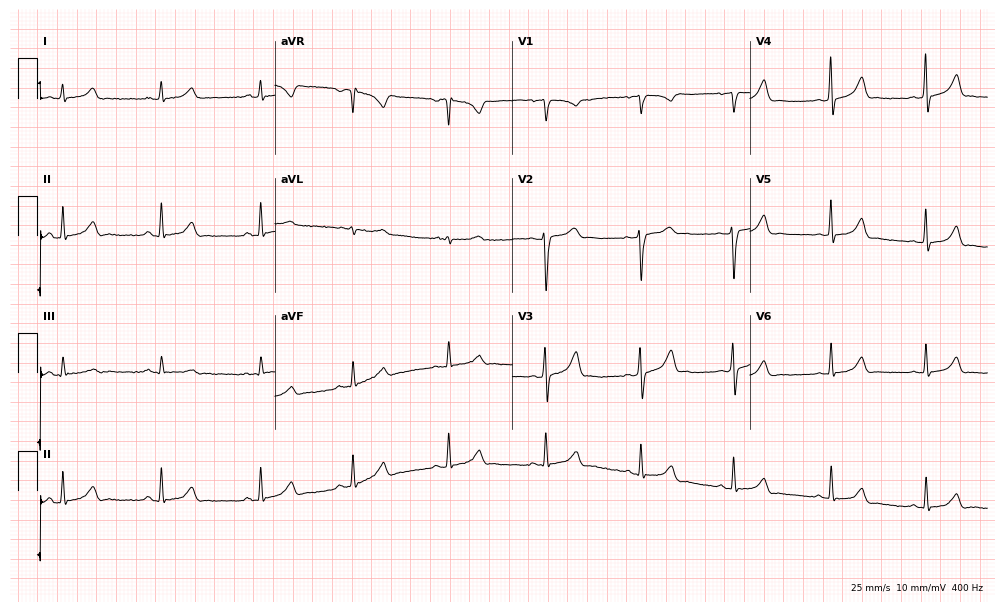
12-lead ECG from a 25-year-old female patient. Recorded interpretation: within normal limits.